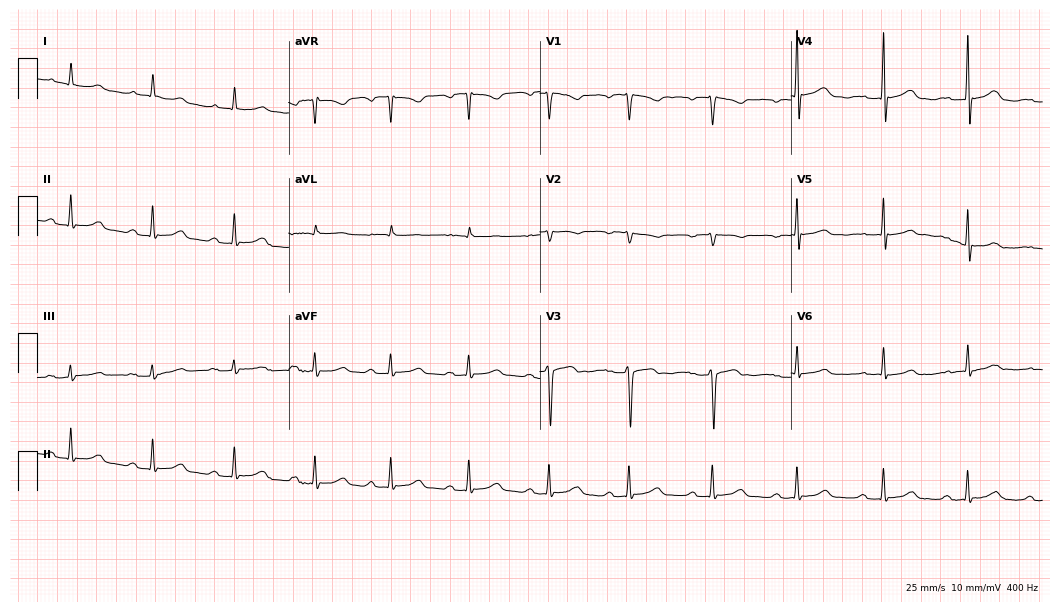
Standard 12-lead ECG recorded from a female patient, 44 years old (10.2-second recording at 400 Hz). None of these six findings is recorded: first-degree AV block, right bundle branch block (RBBB), left bundle branch block (LBBB), sinus bradycardia, atrial fibrillation (AF), sinus tachycardia.